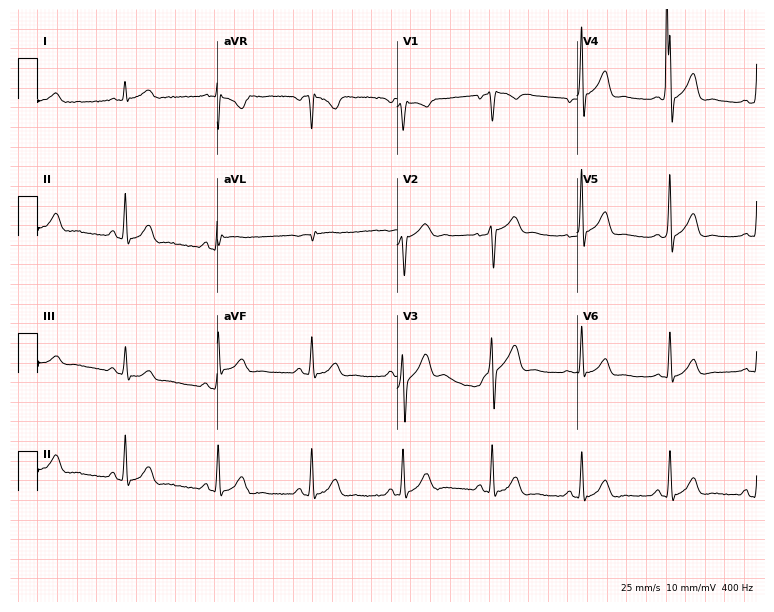
ECG (7.3-second recording at 400 Hz) — a male, 42 years old. Screened for six findings — first-degree AV block, right bundle branch block, left bundle branch block, sinus bradycardia, atrial fibrillation, sinus tachycardia — none is recorded. Findings outside these six are not listed.